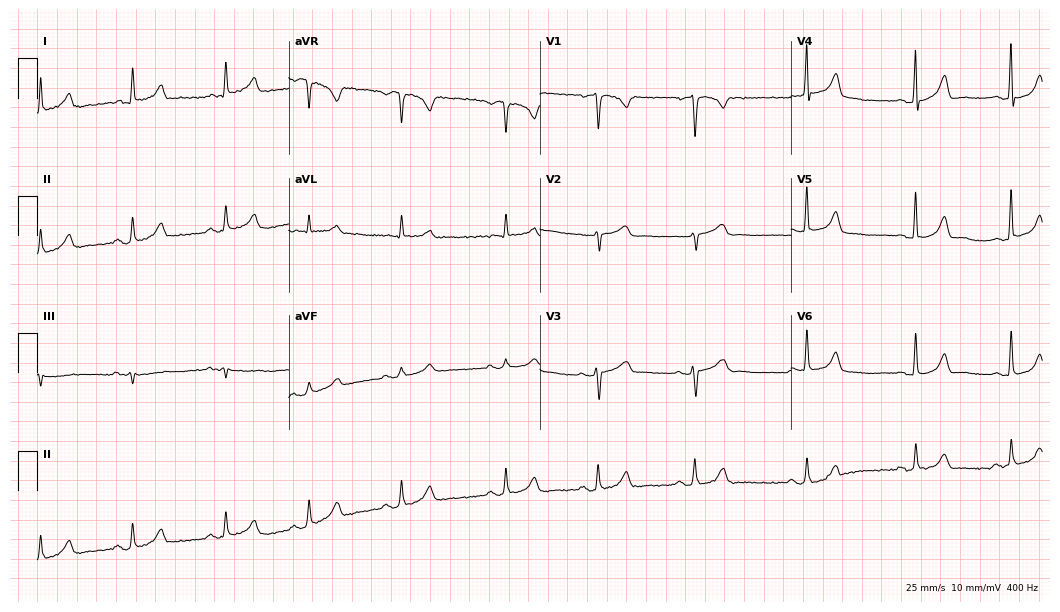
Electrocardiogram (10.2-second recording at 400 Hz), a 36-year-old female. Overall reading on record: normal ECG.